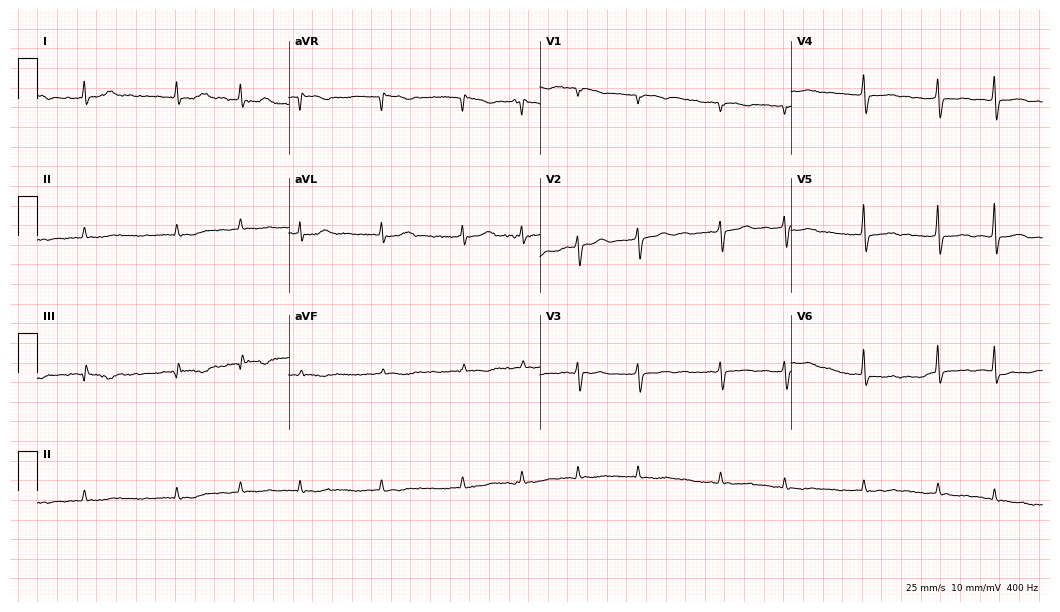
Resting 12-lead electrocardiogram. Patient: a 75-year-old male. The tracing shows atrial fibrillation.